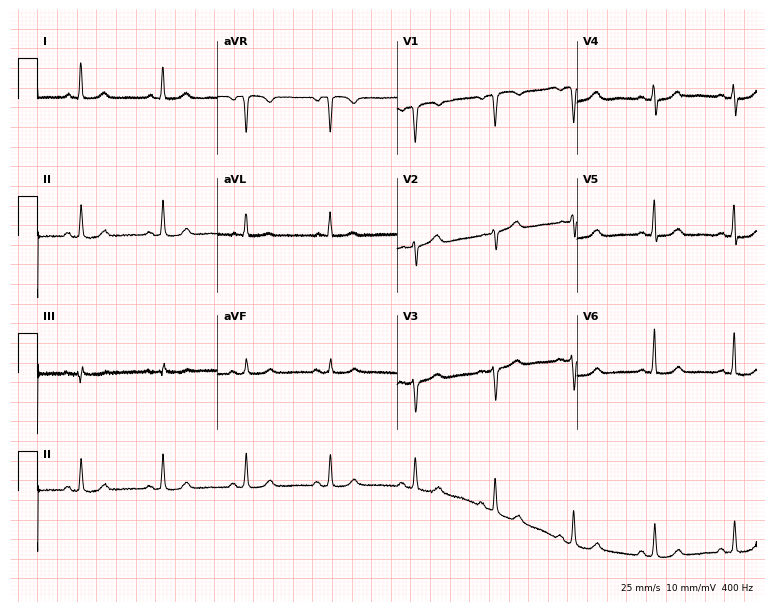
Electrocardiogram, a male patient, 63 years old. Of the six screened findings (first-degree AV block, right bundle branch block, left bundle branch block, sinus bradycardia, atrial fibrillation, sinus tachycardia), none is recorded. Other findings, if any, are not listed.